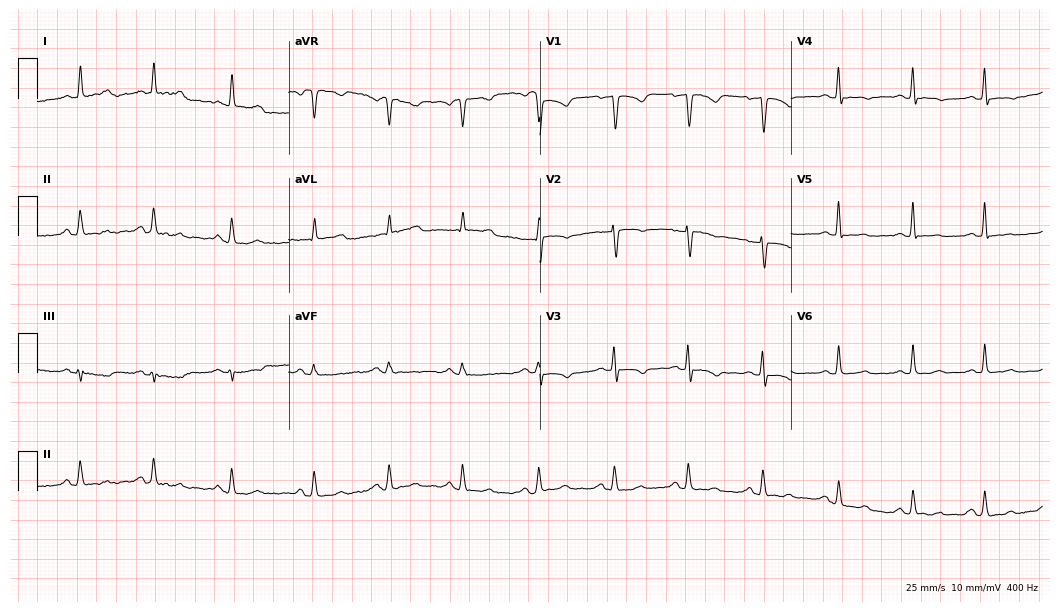
Resting 12-lead electrocardiogram. Patient: a female, 70 years old. None of these six findings is recorded: first-degree AV block, right bundle branch block, left bundle branch block, sinus bradycardia, atrial fibrillation, sinus tachycardia. Other findings, if any, are not listed.